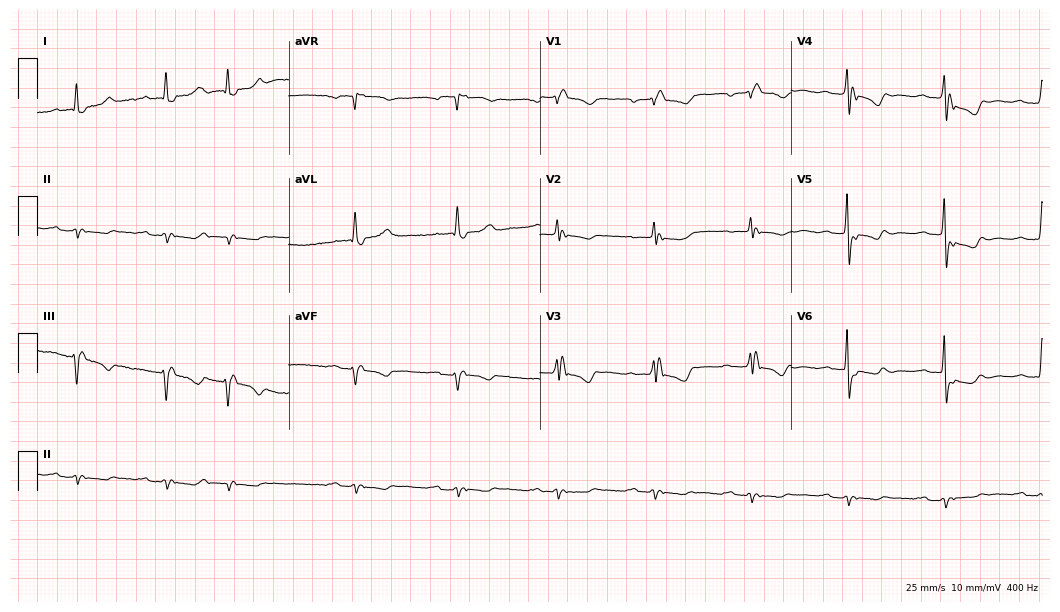
12-lead ECG from a male patient, 84 years old. Findings include first-degree AV block, right bundle branch block.